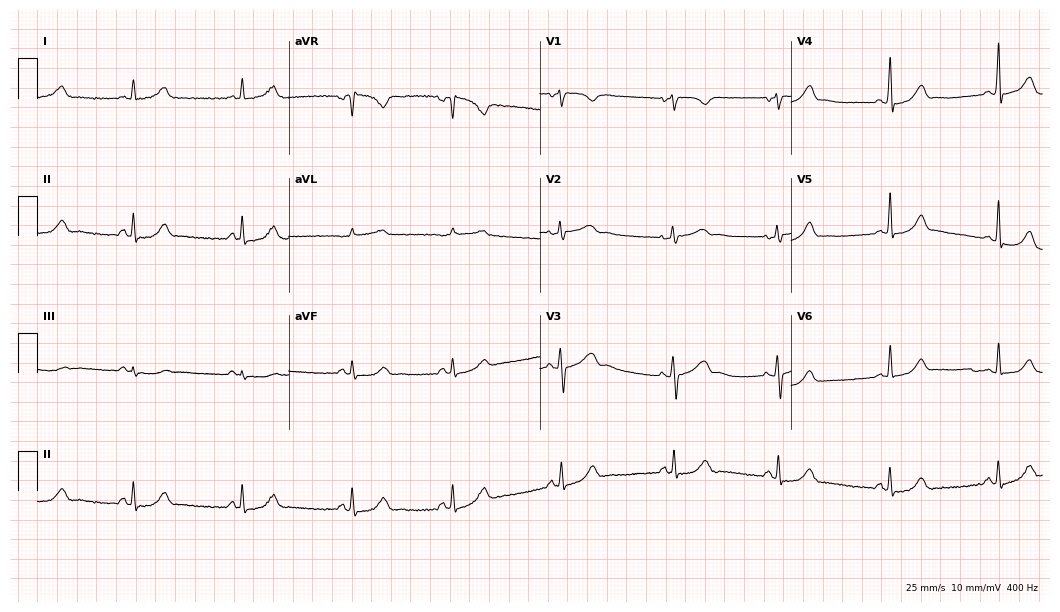
Electrocardiogram (10.2-second recording at 400 Hz), a 31-year-old female patient. Of the six screened findings (first-degree AV block, right bundle branch block (RBBB), left bundle branch block (LBBB), sinus bradycardia, atrial fibrillation (AF), sinus tachycardia), none is recorded. Findings outside these six are not listed.